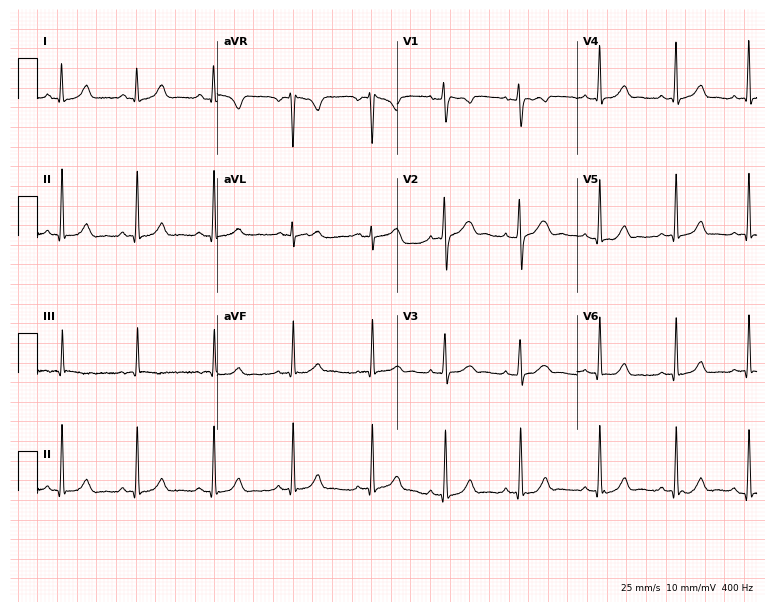
Electrocardiogram, a female patient, 19 years old. Of the six screened findings (first-degree AV block, right bundle branch block, left bundle branch block, sinus bradycardia, atrial fibrillation, sinus tachycardia), none is recorded.